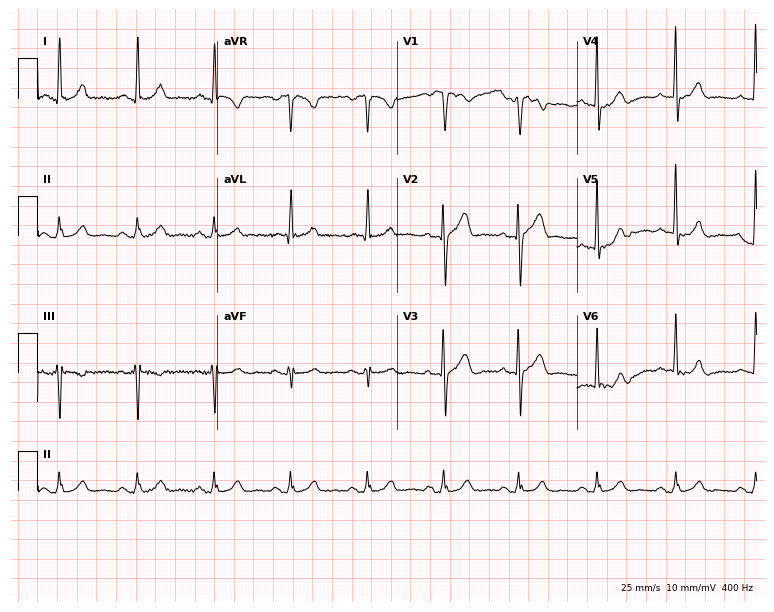
ECG — a male, 68 years old. Screened for six findings — first-degree AV block, right bundle branch block, left bundle branch block, sinus bradycardia, atrial fibrillation, sinus tachycardia — none is recorded.